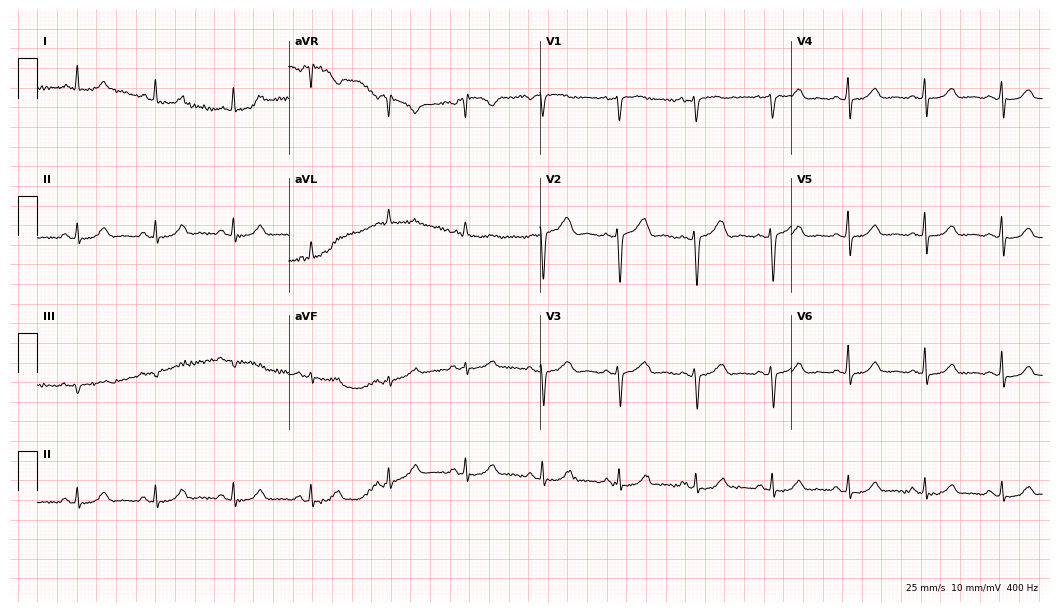
12-lead ECG from a female, 48 years old (10.2-second recording at 400 Hz). Recorded interpretation: within normal limits.